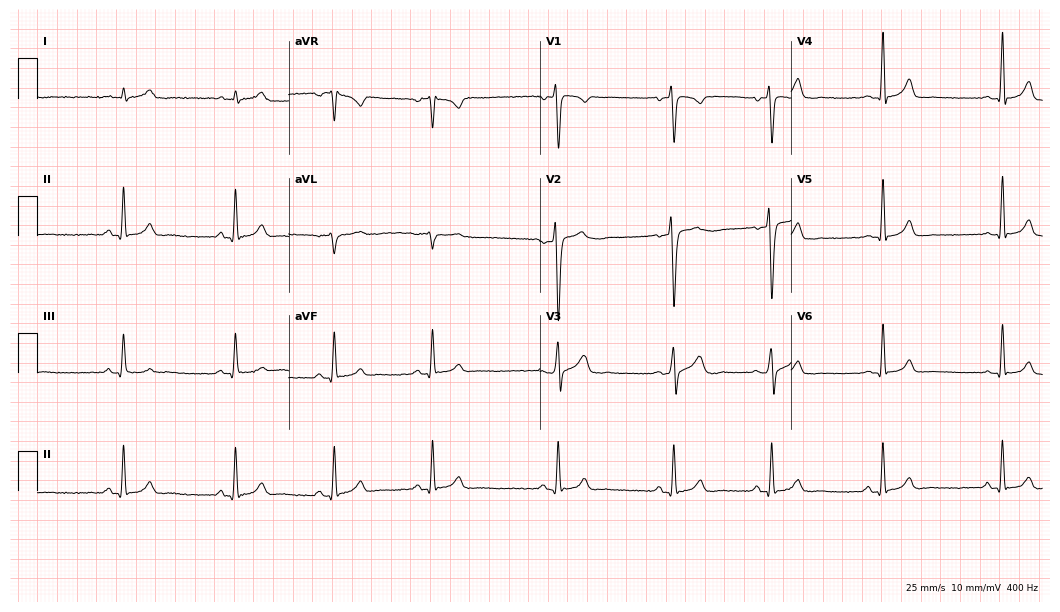
Standard 12-lead ECG recorded from a 25-year-old male (10.2-second recording at 400 Hz). Read as a normal ECG.